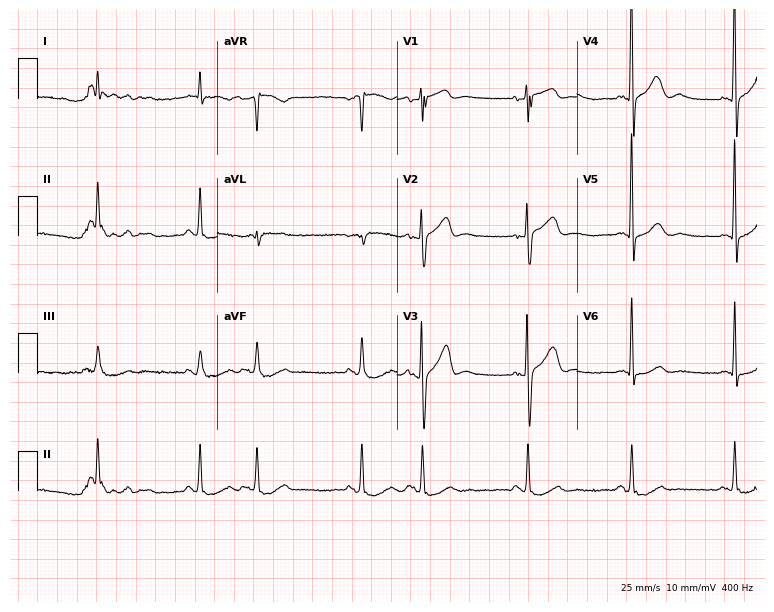
Standard 12-lead ECG recorded from an 80-year-old man (7.3-second recording at 400 Hz). None of these six findings is recorded: first-degree AV block, right bundle branch block (RBBB), left bundle branch block (LBBB), sinus bradycardia, atrial fibrillation (AF), sinus tachycardia. Only these six findings were labelled.